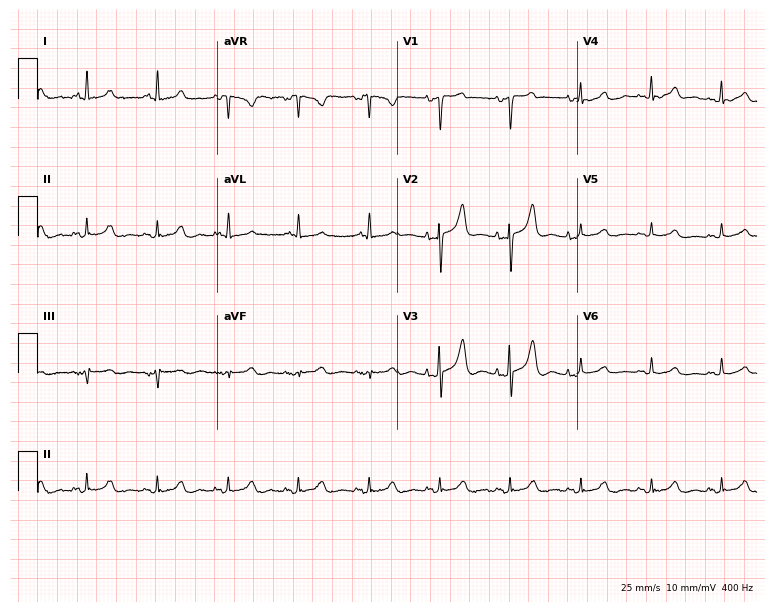
Resting 12-lead electrocardiogram. Patient: an 82-year-old female. Read as a normal ECG.